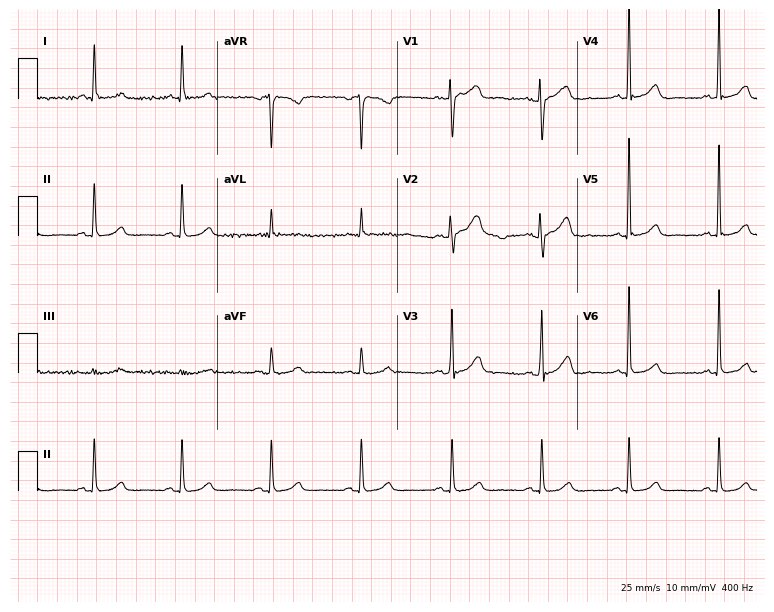
Electrocardiogram, a 73-year-old female. Overall reading on record: normal ECG.